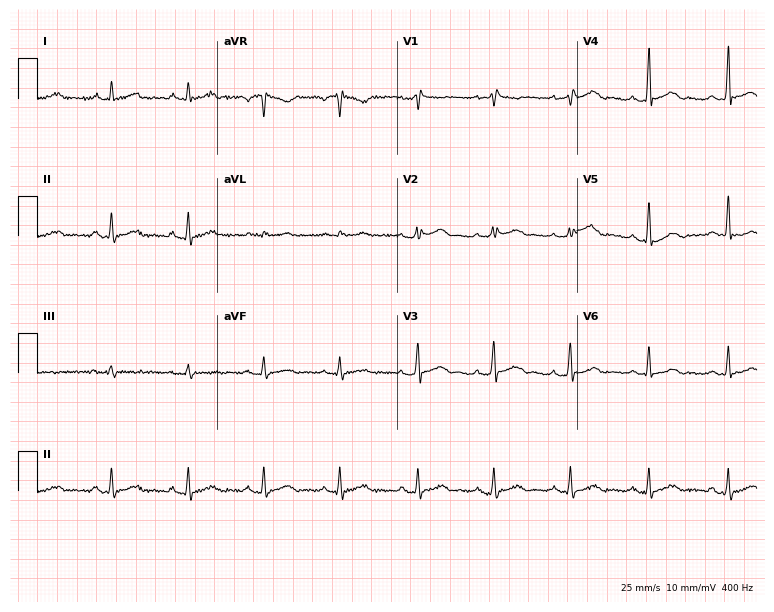
Electrocardiogram, a 46-year-old man. Of the six screened findings (first-degree AV block, right bundle branch block, left bundle branch block, sinus bradycardia, atrial fibrillation, sinus tachycardia), none is recorded.